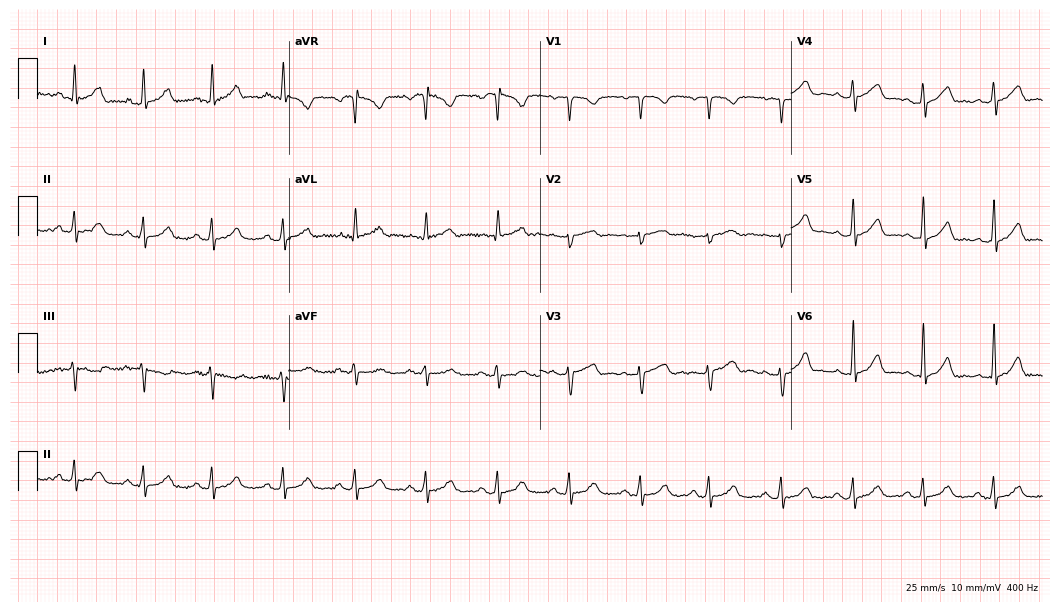
12-lead ECG from a 24-year-old female (10.2-second recording at 400 Hz). Recorded interpretation: within normal limits.